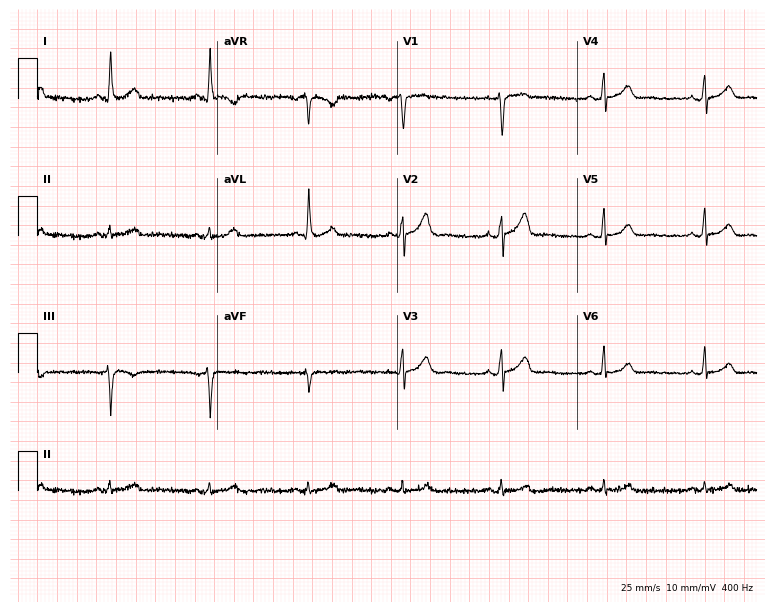
Electrocardiogram (7.3-second recording at 400 Hz), a man, 43 years old. Overall reading on record: normal ECG.